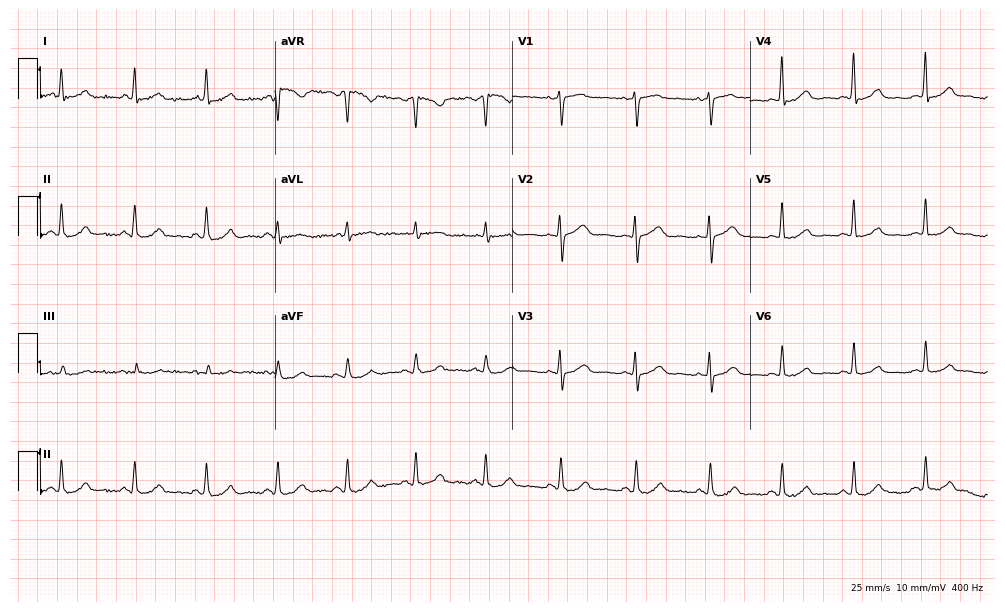
ECG — a 67-year-old female patient. Labelled as a normal ECG.